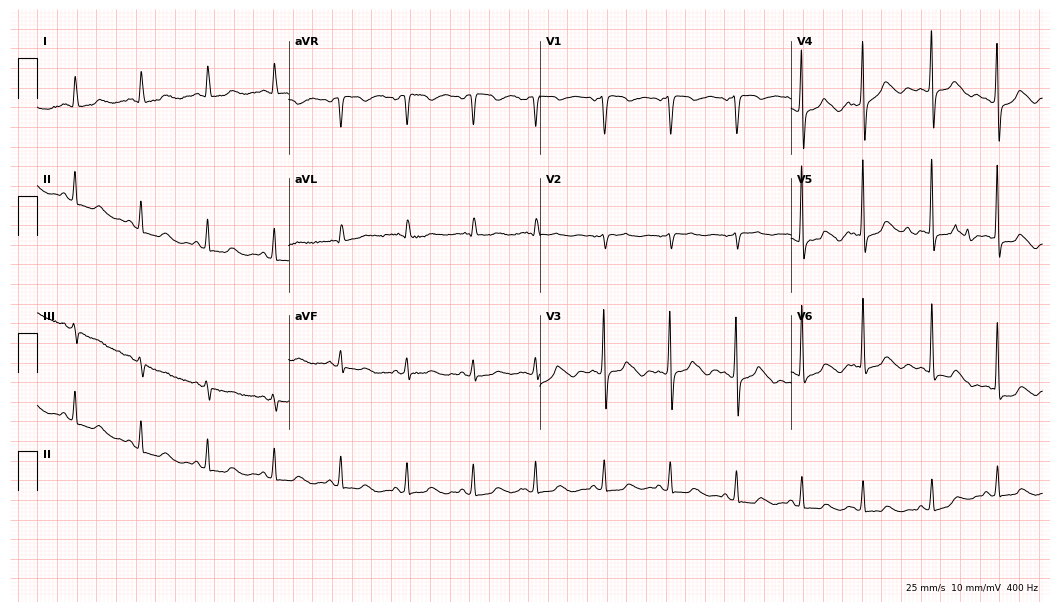
Standard 12-lead ECG recorded from a female patient, 73 years old (10.2-second recording at 400 Hz). Read as a normal ECG.